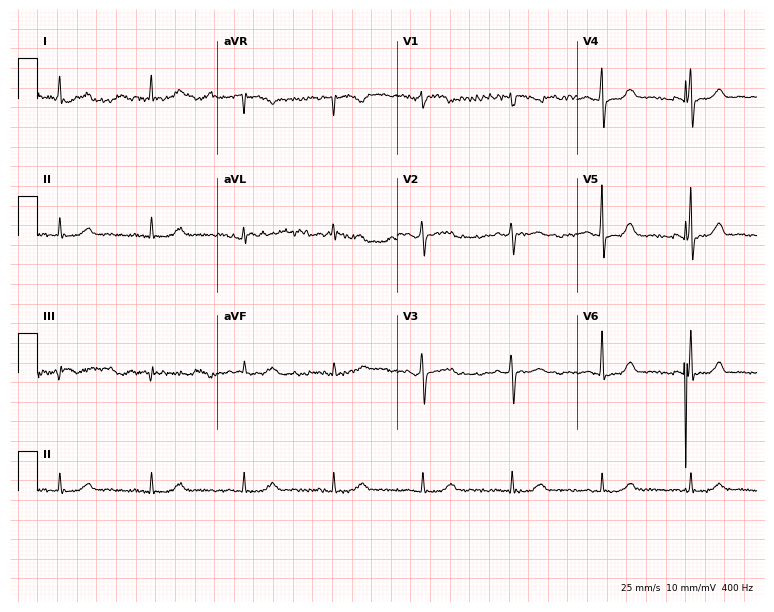
12-lead ECG from a female, 62 years old (7.3-second recording at 400 Hz). Recorded interpretation: within normal limits.